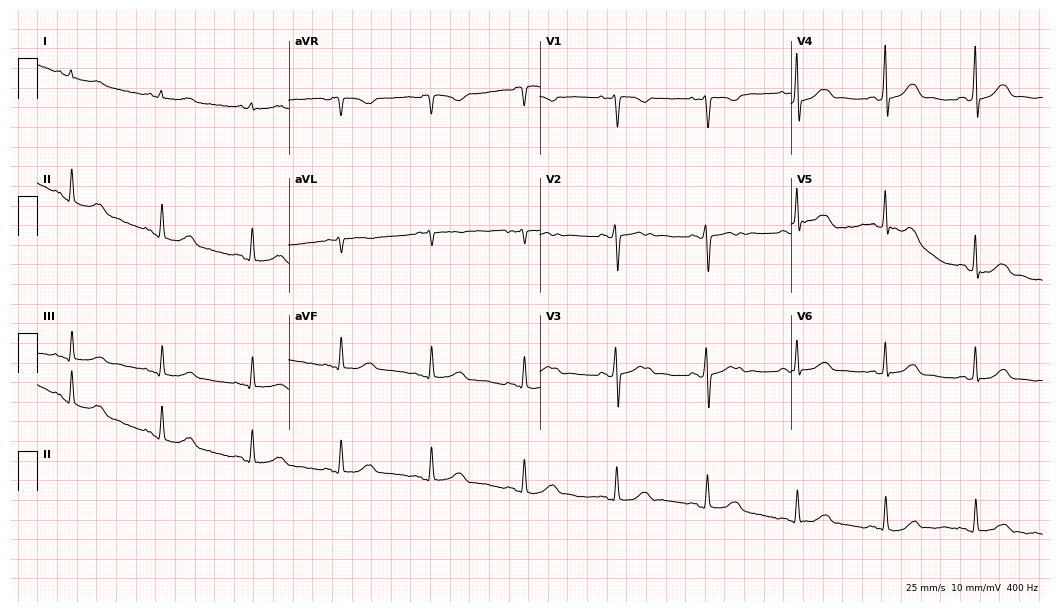
Electrocardiogram, a 46-year-old female. Overall reading on record: normal ECG.